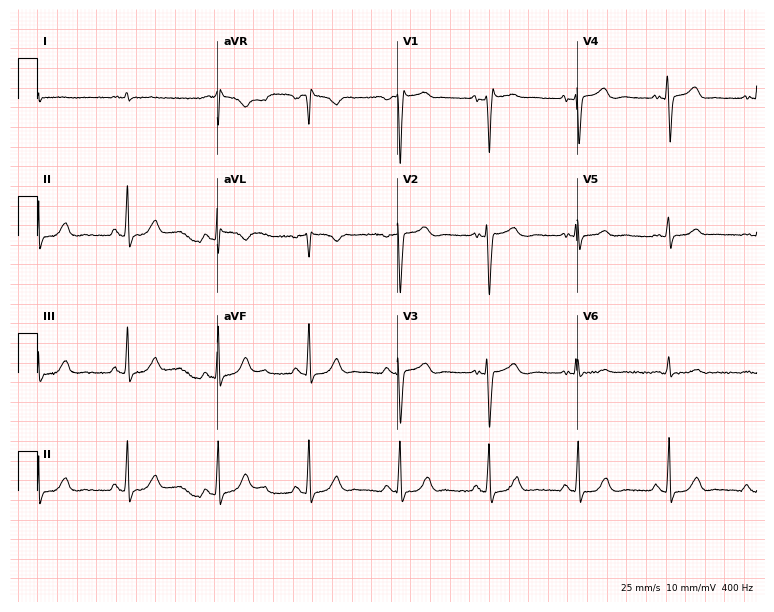
ECG — a 60-year-old male. Screened for six findings — first-degree AV block, right bundle branch block, left bundle branch block, sinus bradycardia, atrial fibrillation, sinus tachycardia — none is recorded. Only these six findings were labelled.